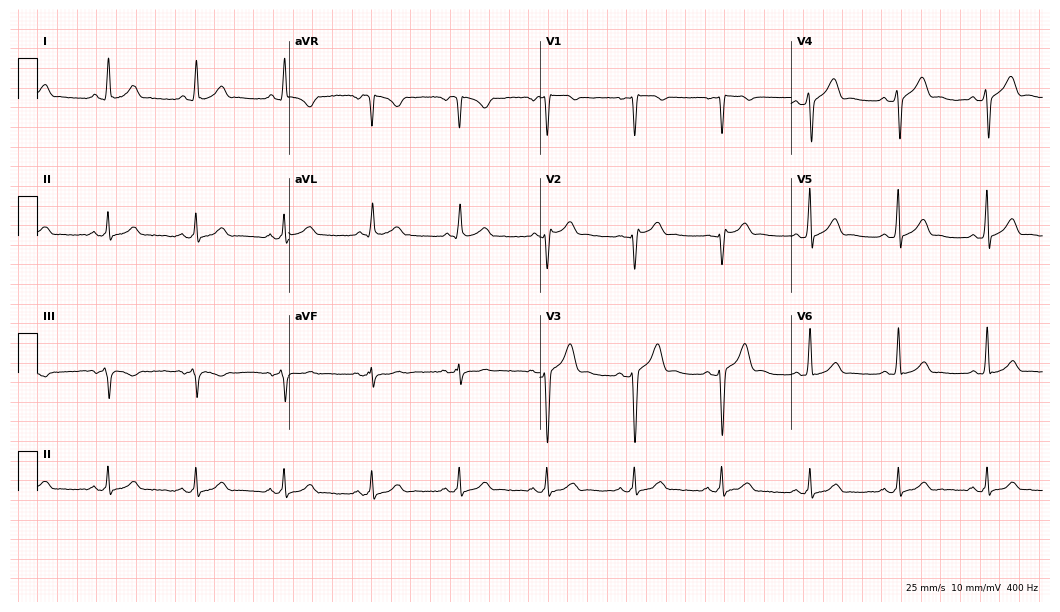
ECG (10.2-second recording at 400 Hz) — a 50-year-old male. Screened for six findings — first-degree AV block, right bundle branch block (RBBB), left bundle branch block (LBBB), sinus bradycardia, atrial fibrillation (AF), sinus tachycardia — none is recorded.